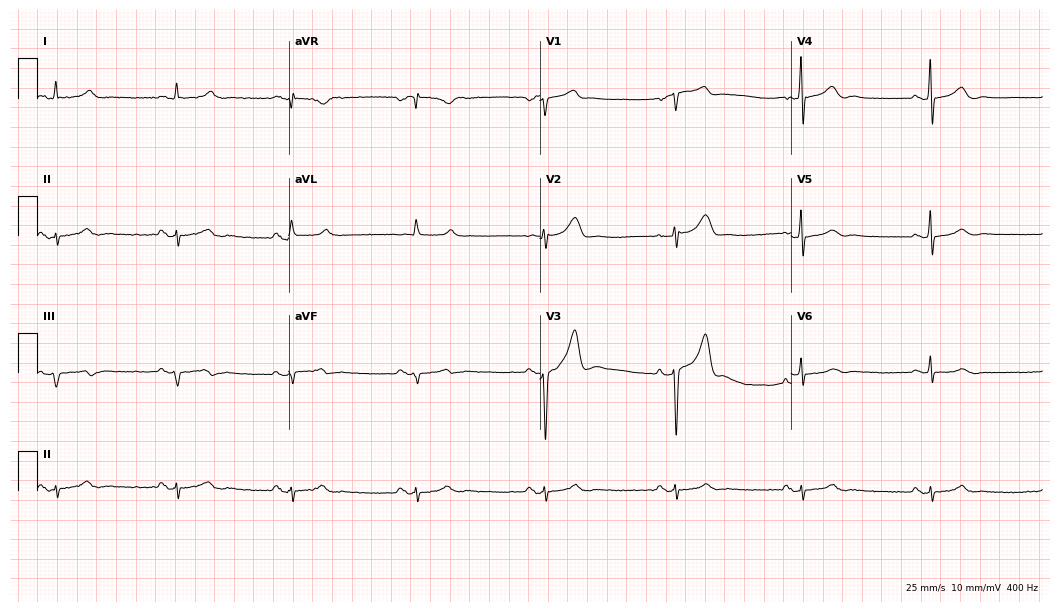
Standard 12-lead ECG recorded from a 69-year-old male. Read as a normal ECG.